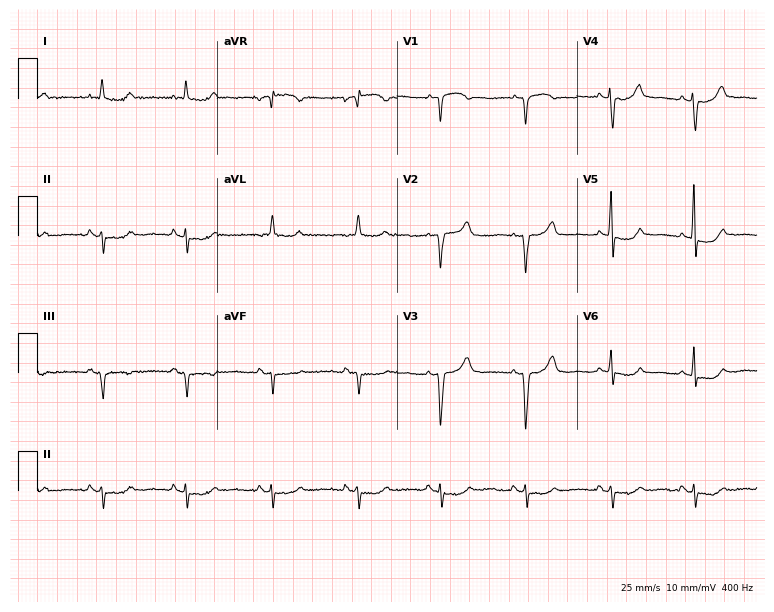
Standard 12-lead ECG recorded from a female, 83 years old. None of these six findings is recorded: first-degree AV block, right bundle branch block (RBBB), left bundle branch block (LBBB), sinus bradycardia, atrial fibrillation (AF), sinus tachycardia.